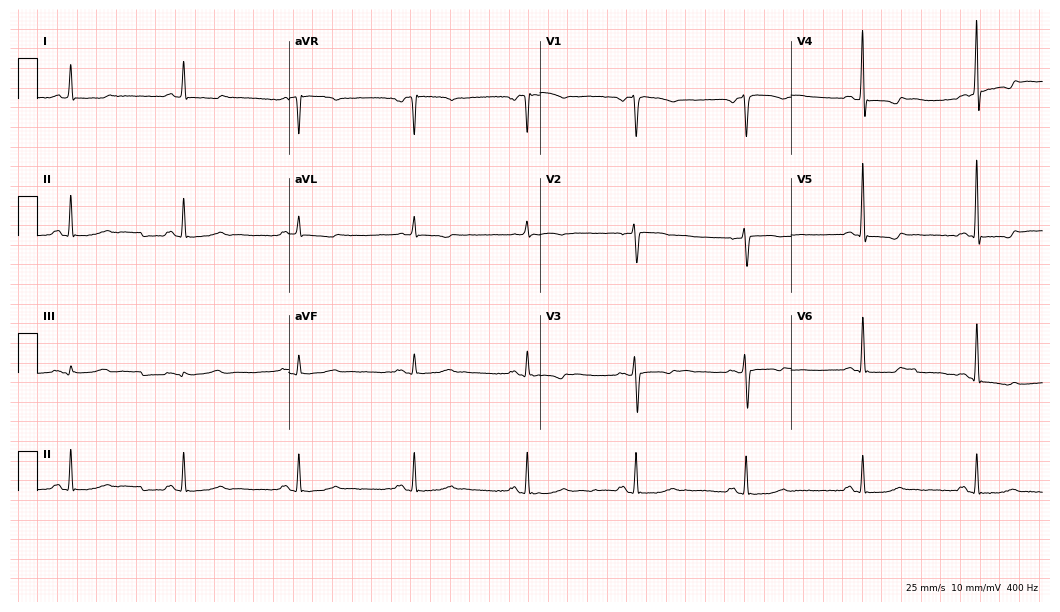
12-lead ECG (10.2-second recording at 400 Hz) from a female patient, 67 years old. Screened for six findings — first-degree AV block, right bundle branch block (RBBB), left bundle branch block (LBBB), sinus bradycardia, atrial fibrillation (AF), sinus tachycardia — none is recorded. Other findings, if any, are not listed.